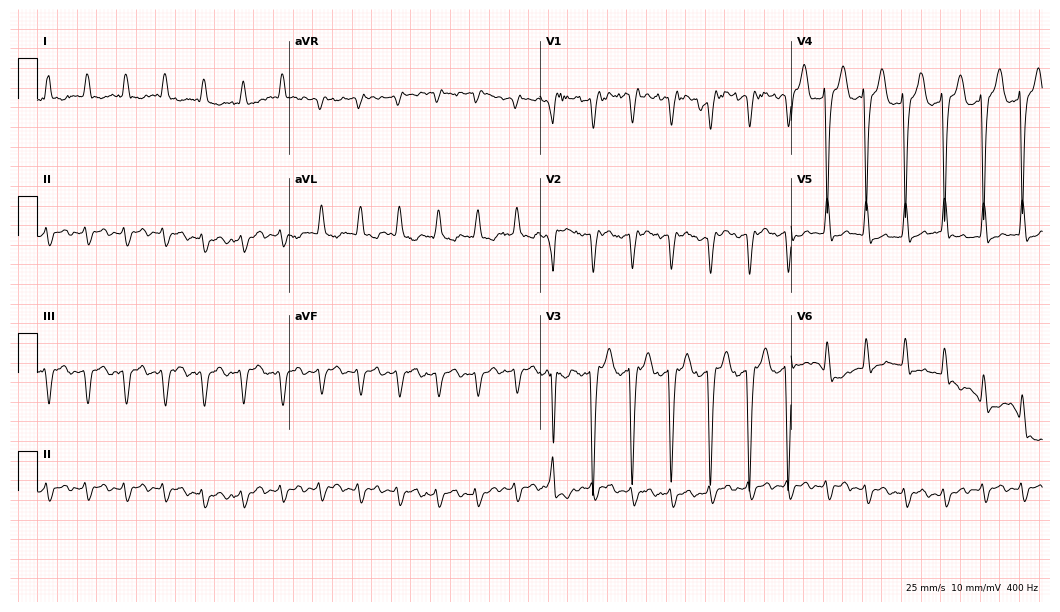
12-lead ECG (10.2-second recording at 400 Hz) from an 80-year-old man. Screened for six findings — first-degree AV block, right bundle branch block, left bundle branch block, sinus bradycardia, atrial fibrillation, sinus tachycardia — none is recorded.